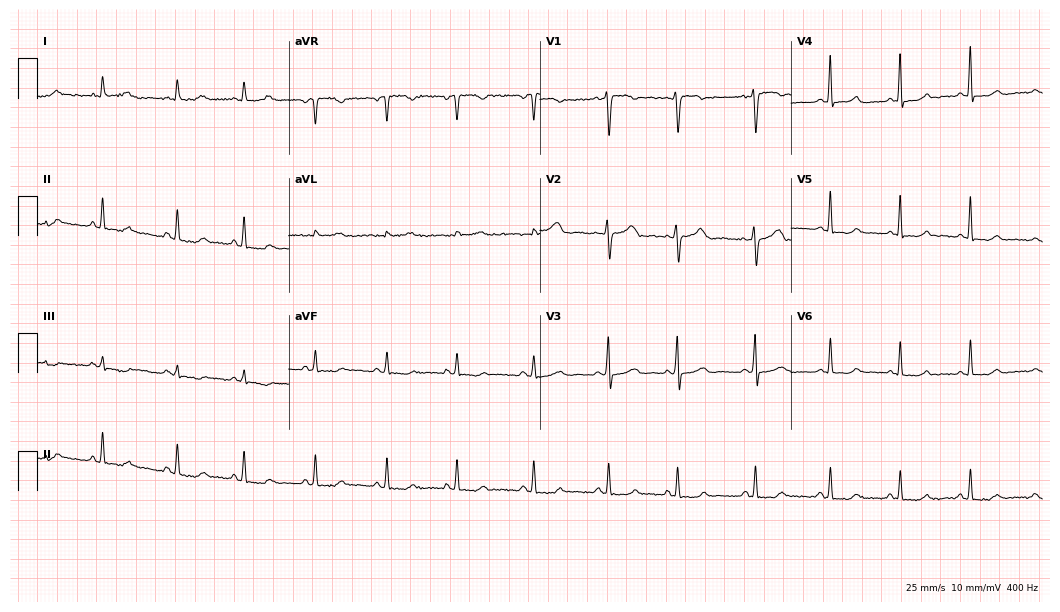
Resting 12-lead electrocardiogram. Patient: a 36-year-old woman. None of these six findings is recorded: first-degree AV block, right bundle branch block (RBBB), left bundle branch block (LBBB), sinus bradycardia, atrial fibrillation (AF), sinus tachycardia.